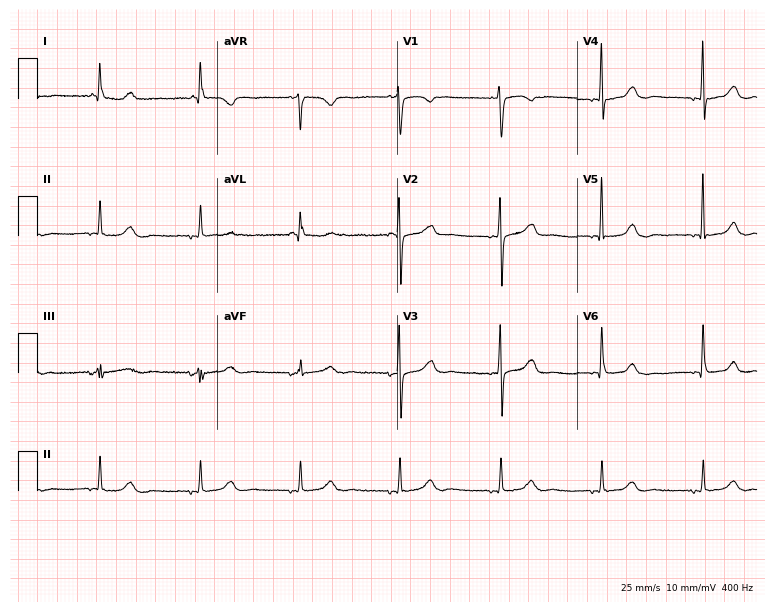
12-lead ECG (7.3-second recording at 400 Hz) from an 83-year-old female patient. Labelled as a normal ECG.